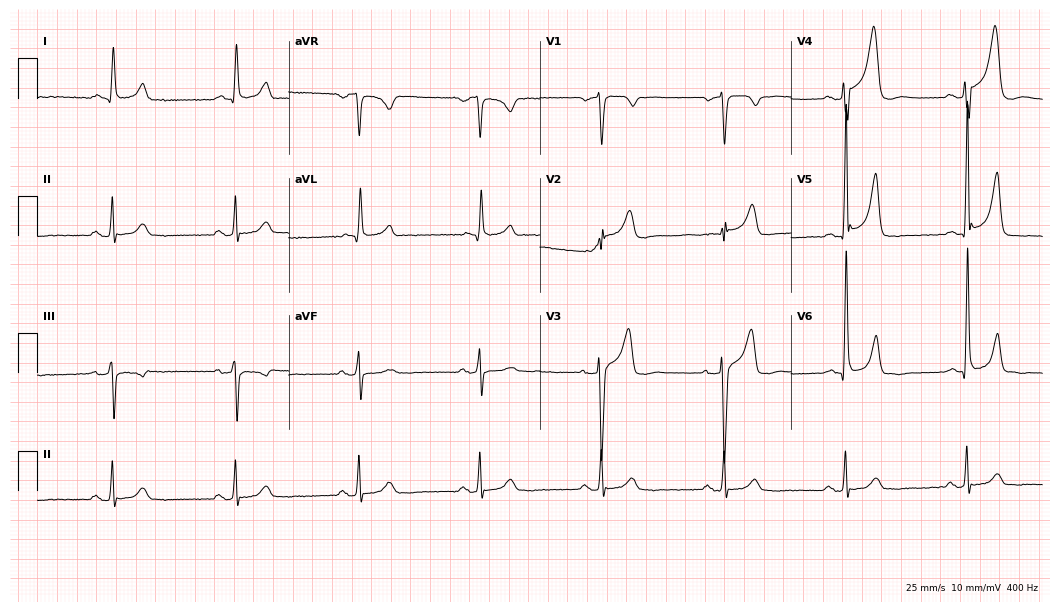
Standard 12-lead ECG recorded from a 72-year-old man (10.2-second recording at 400 Hz). None of these six findings is recorded: first-degree AV block, right bundle branch block, left bundle branch block, sinus bradycardia, atrial fibrillation, sinus tachycardia.